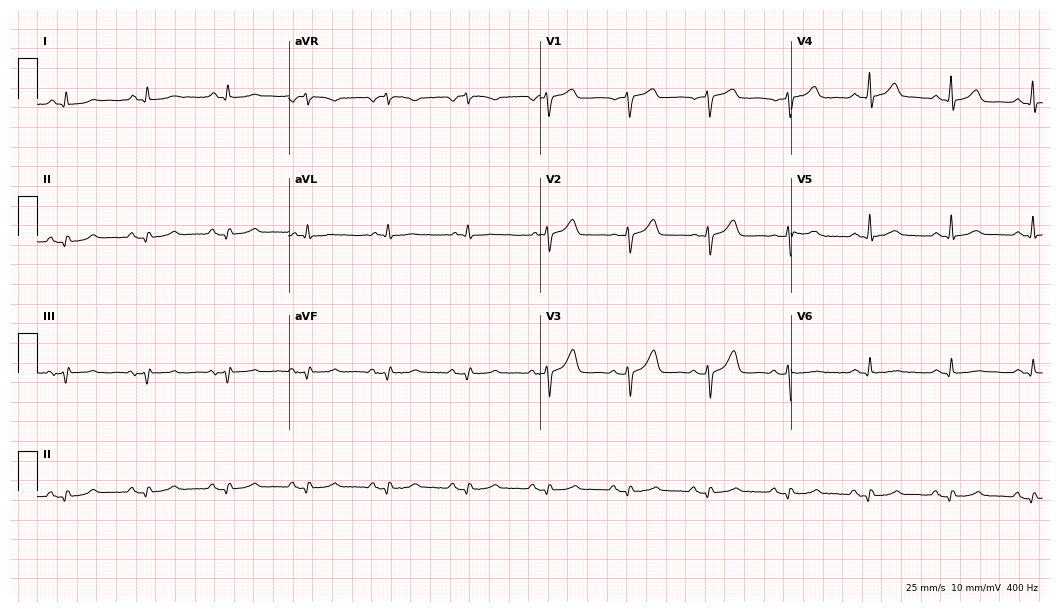
12-lead ECG from a male patient, 62 years old. No first-degree AV block, right bundle branch block, left bundle branch block, sinus bradycardia, atrial fibrillation or sinus tachycardia recorded for this tracing. Other findings, if any, are not listed.